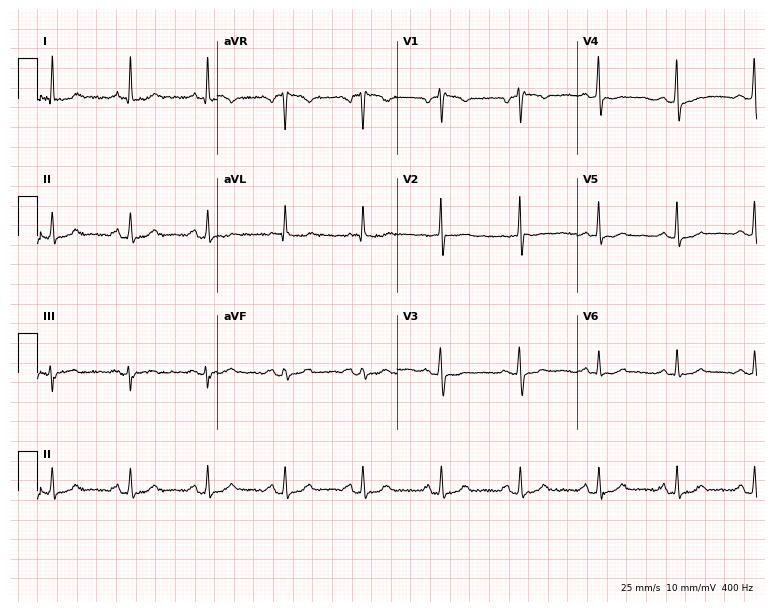
12-lead ECG from a female, 64 years old (7.3-second recording at 400 Hz). No first-degree AV block, right bundle branch block, left bundle branch block, sinus bradycardia, atrial fibrillation or sinus tachycardia recorded for this tracing.